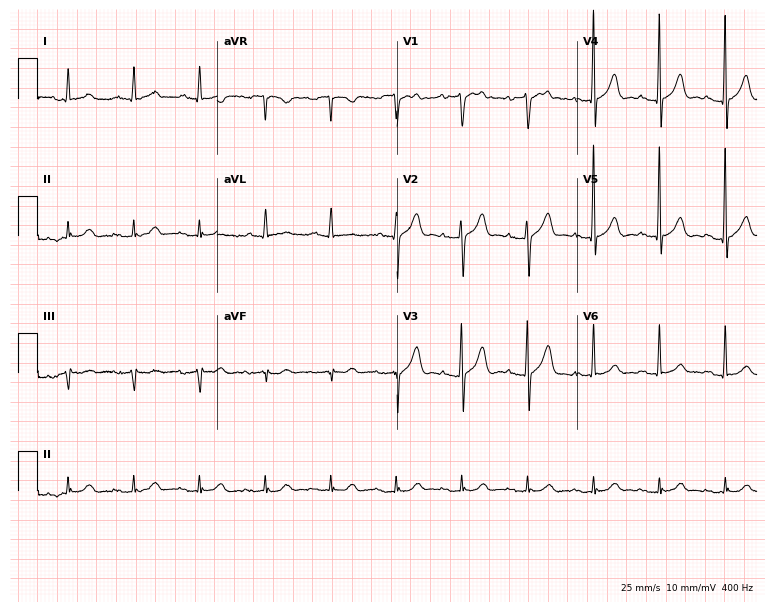
12-lead ECG from a man, 79 years old (7.3-second recording at 400 Hz). Recorded interpretation: within normal limits.